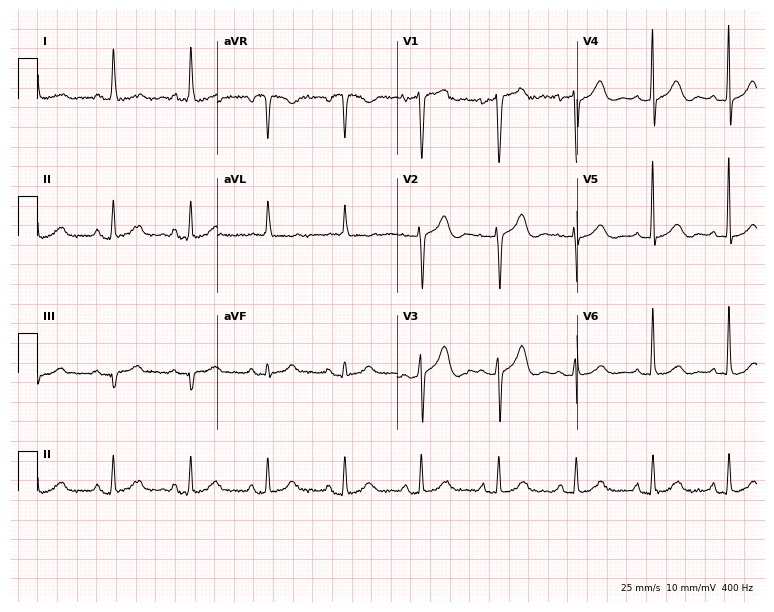
ECG (7.3-second recording at 400 Hz) — a woman, 79 years old. Screened for six findings — first-degree AV block, right bundle branch block, left bundle branch block, sinus bradycardia, atrial fibrillation, sinus tachycardia — none is recorded. Only these six findings were labelled.